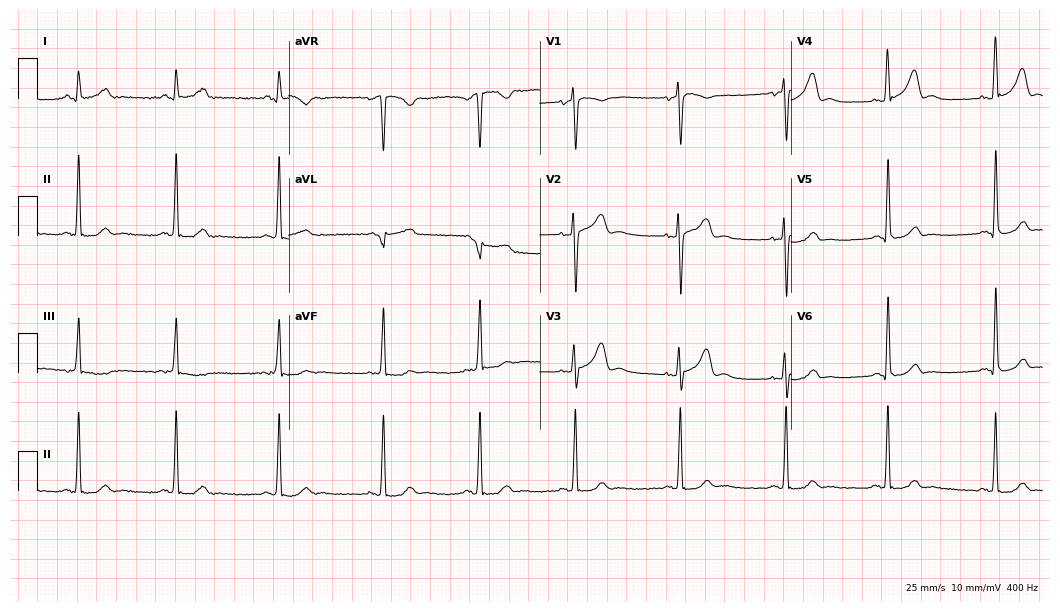
12-lead ECG from a 36-year-old female. No first-degree AV block, right bundle branch block, left bundle branch block, sinus bradycardia, atrial fibrillation or sinus tachycardia recorded for this tracing. Findings outside these six are not listed.